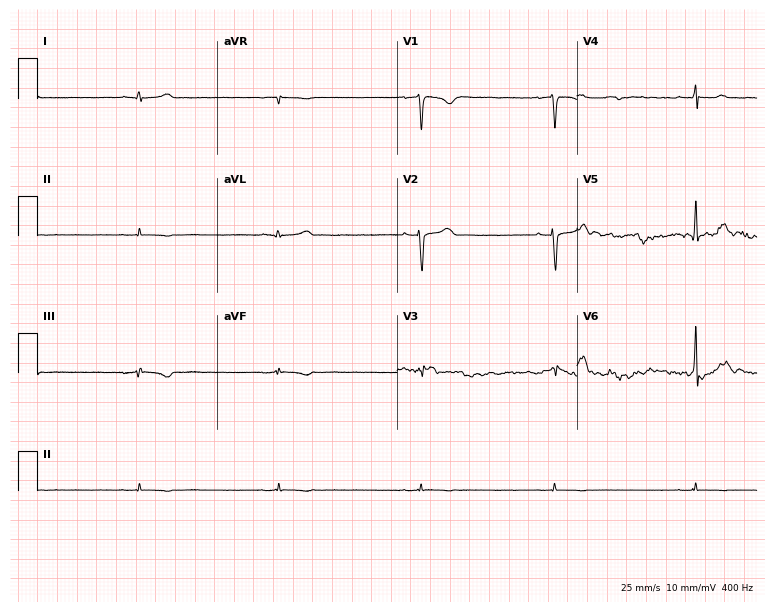
ECG (7.3-second recording at 400 Hz) — a woman, 23 years old. Screened for six findings — first-degree AV block, right bundle branch block (RBBB), left bundle branch block (LBBB), sinus bradycardia, atrial fibrillation (AF), sinus tachycardia — none is recorded. Other findings, if any, are not listed.